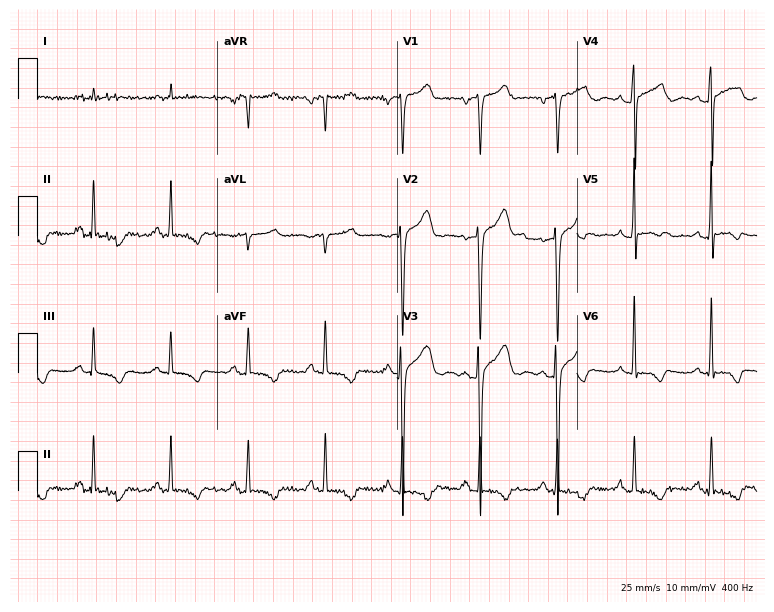
12-lead ECG (7.3-second recording at 400 Hz) from a 65-year-old male patient. Screened for six findings — first-degree AV block, right bundle branch block, left bundle branch block, sinus bradycardia, atrial fibrillation, sinus tachycardia — none is recorded. Other findings, if any, are not listed.